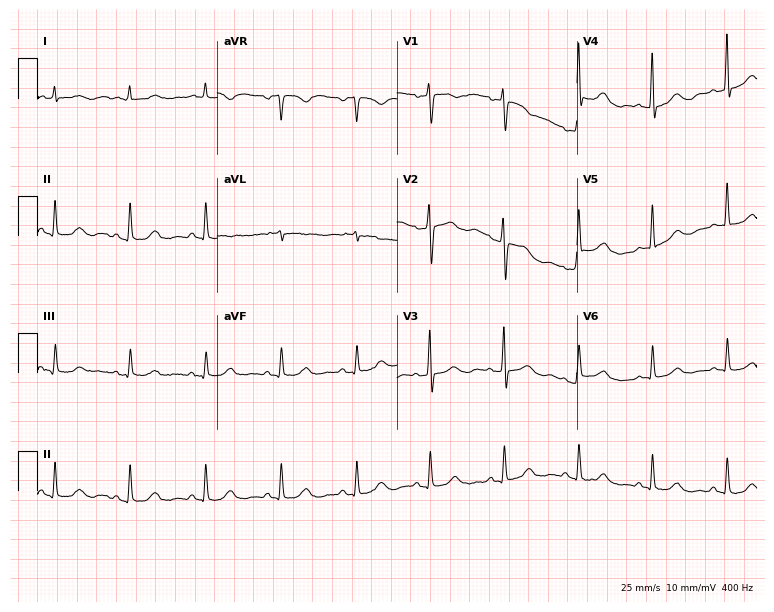
12-lead ECG from an 81-year-old female patient. No first-degree AV block, right bundle branch block, left bundle branch block, sinus bradycardia, atrial fibrillation or sinus tachycardia recorded for this tracing.